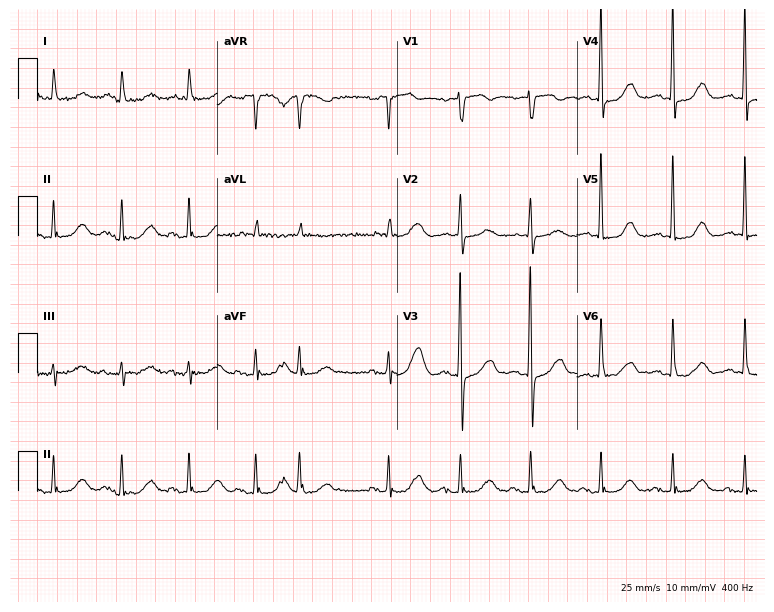
ECG (7.3-second recording at 400 Hz) — a woman, 83 years old. Screened for six findings — first-degree AV block, right bundle branch block, left bundle branch block, sinus bradycardia, atrial fibrillation, sinus tachycardia — none is recorded.